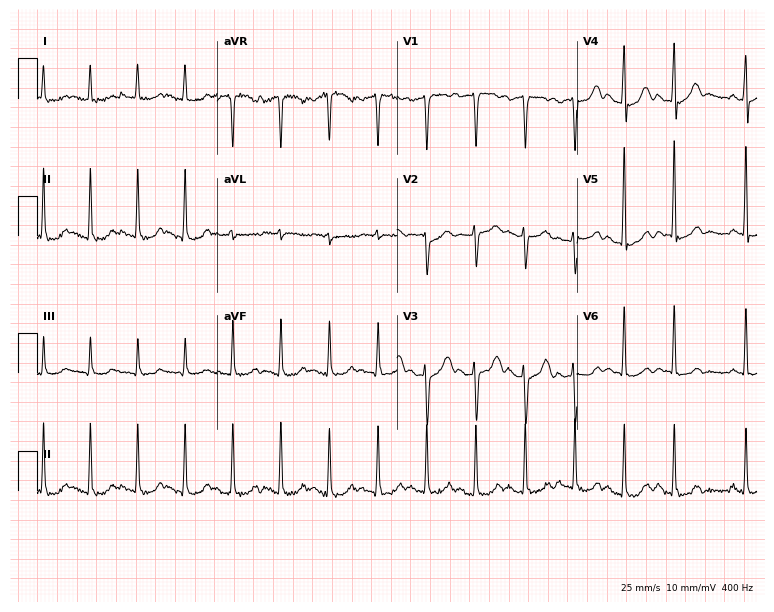
Standard 12-lead ECG recorded from a male, 81 years old (7.3-second recording at 400 Hz). None of these six findings is recorded: first-degree AV block, right bundle branch block (RBBB), left bundle branch block (LBBB), sinus bradycardia, atrial fibrillation (AF), sinus tachycardia. Only these six findings were labelled.